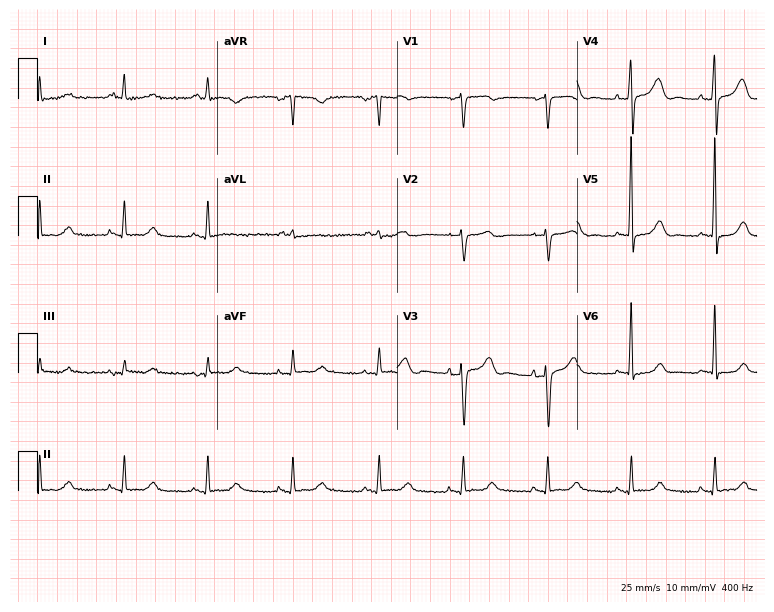
12-lead ECG from a female, 62 years old. Labelled as a normal ECG.